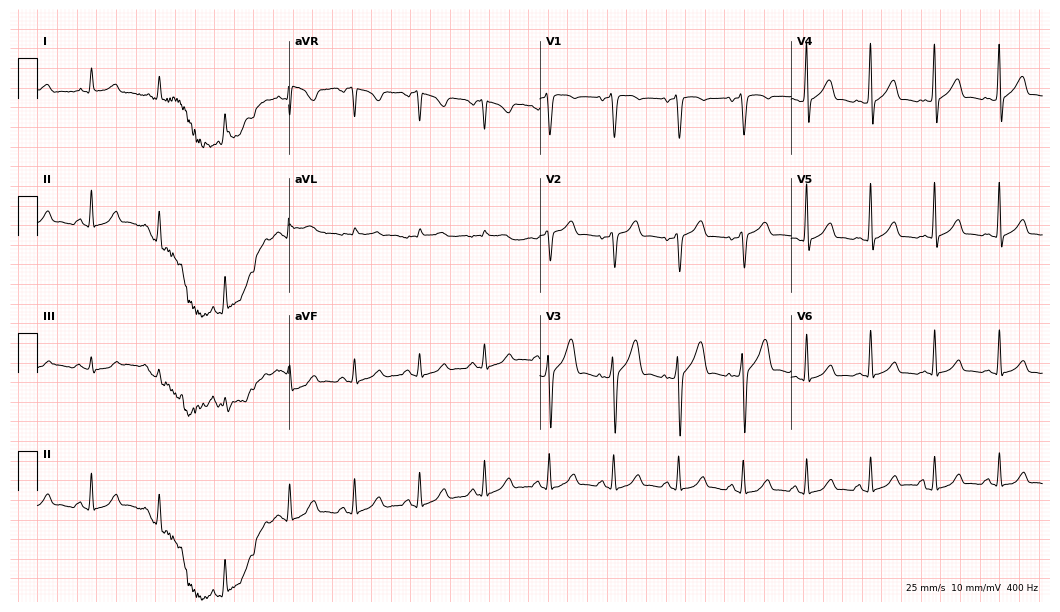
12-lead ECG from a 41-year-old male. No first-degree AV block, right bundle branch block (RBBB), left bundle branch block (LBBB), sinus bradycardia, atrial fibrillation (AF) or sinus tachycardia recorded for this tracing.